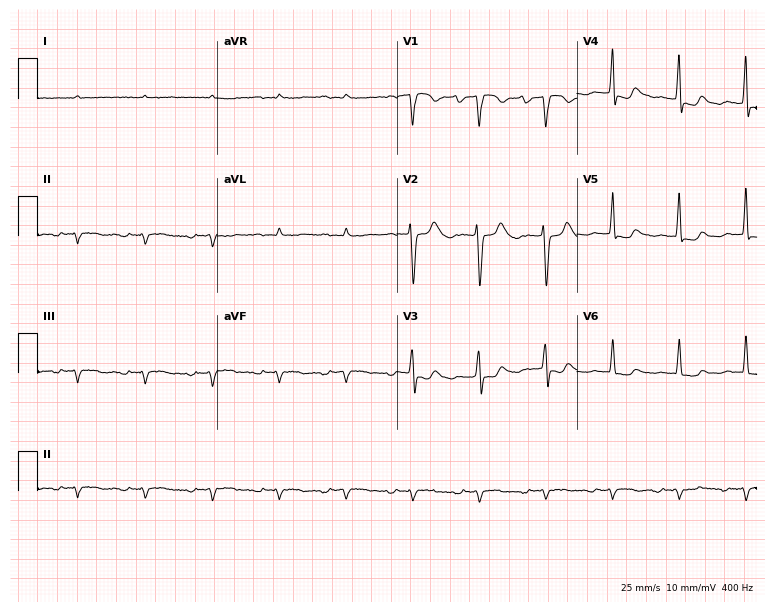
Resting 12-lead electrocardiogram. Patient: an 80-year-old female. None of these six findings is recorded: first-degree AV block, right bundle branch block, left bundle branch block, sinus bradycardia, atrial fibrillation, sinus tachycardia.